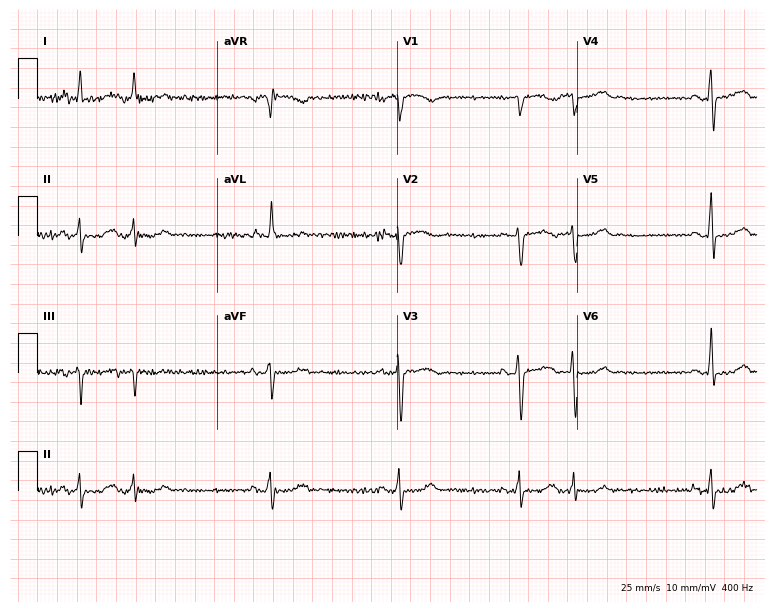
12-lead ECG from a 75-year-old female (7.3-second recording at 400 Hz). No first-degree AV block, right bundle branch block, left bundle branch block, sinus bradycardia, atrial fibrillation or sinus tachycardia recorded for this tracing. Other findings, if any, are not listed.